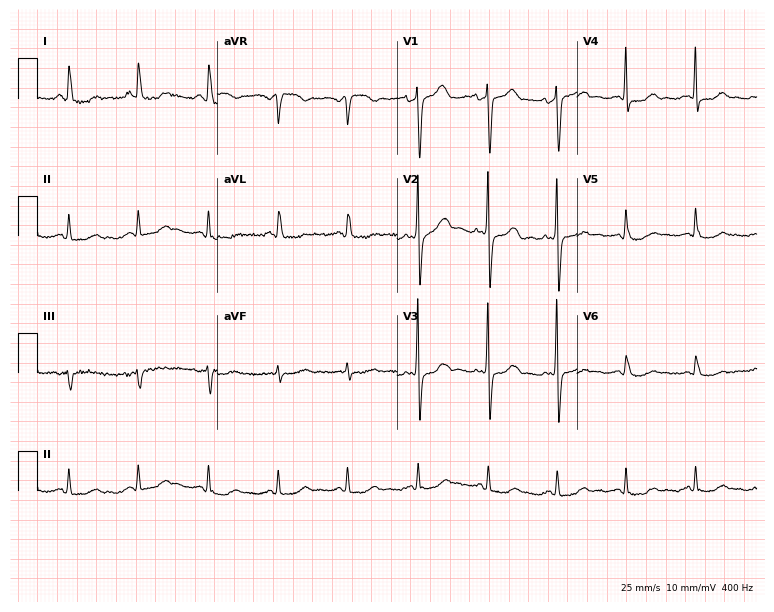
ECG — a 66-year-old female. Screened for six findings — first-degree AV block, right bundle branch block (RBBB), left bundle branch block (LBBB), sinus bradycardia, atrial fibrillation (AF), sinus tachycardia — none is recorded. Findings outside these six are not listed.